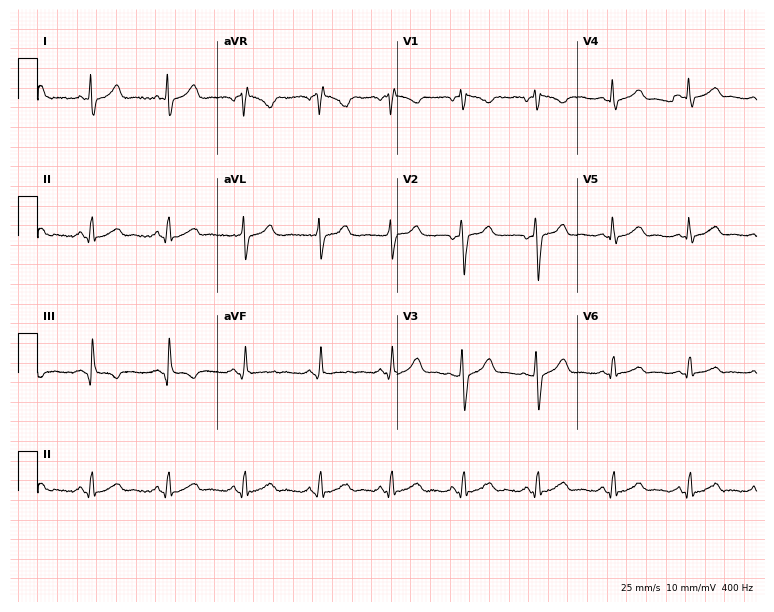
Electrocardiogram, a male, 39 years old. Of the six screened findings (first-degree AV block, right bundle branch block, left bundle branch block, sinus bradycardia, atrial fibrillation, sinus tachycardia), none is recorded. Other findings, if any, are not listed.